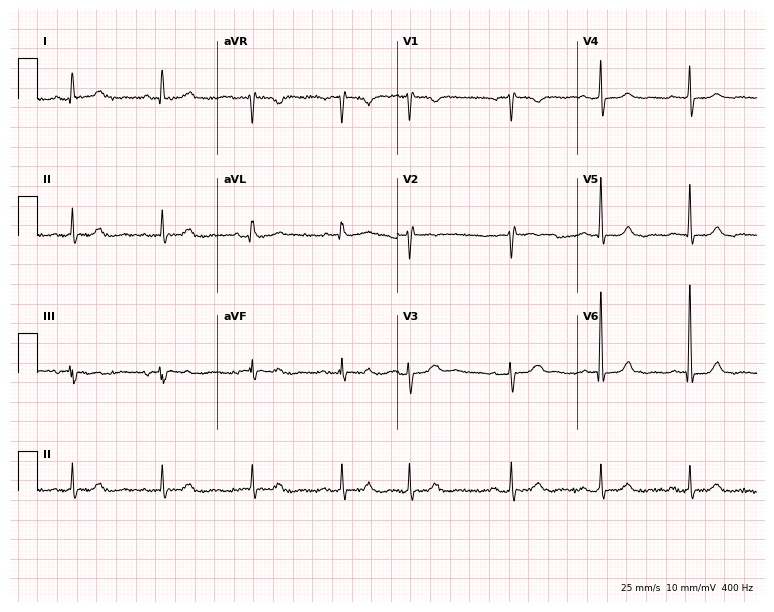
12-lead ECG from a 70-year-old female patient (7.3-second recording at 400 Hz). No first-degree AV block, right bundle branch block, left bundle branch block, sinus bradycardia, atrial fibrillation or sinus tachycardia recorded for this tracing. Only these six findings were labelled.